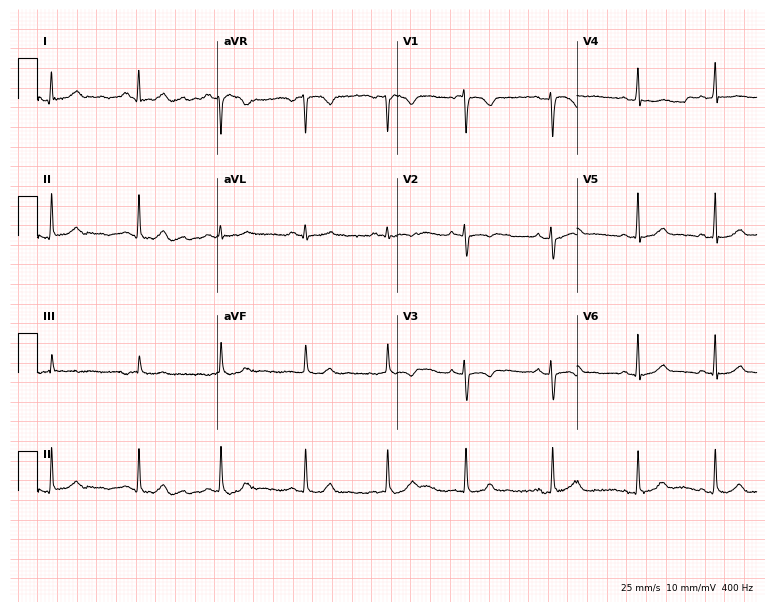
ECG (7.3-second recording at 400 Hz) — a woman, 21 years old. Labelled as a normal ECG.